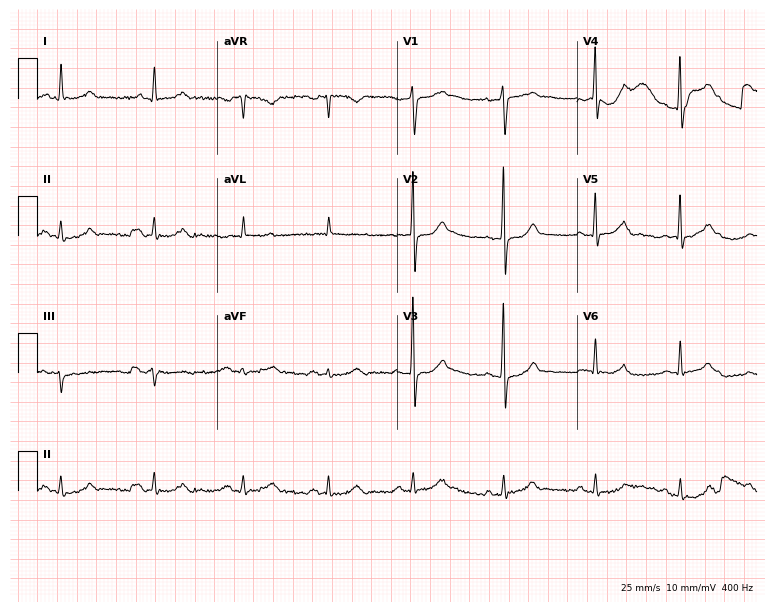
Resting 12-lead electrocardiogram. Patient: a man, 52 years old. Read as a normal ECG.